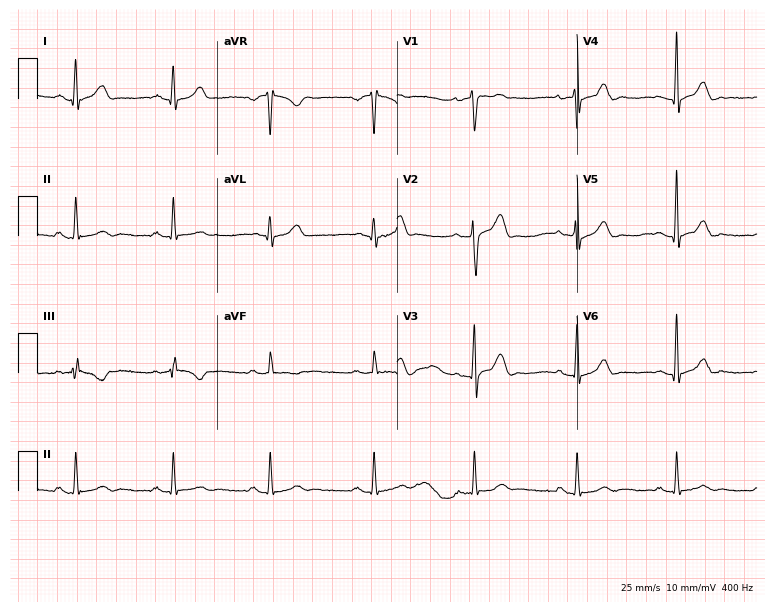
Standard 12-lead ECG recorded from a 44-year-old male (7.3-second recording at 400 Hz). Read as a normal ECG.